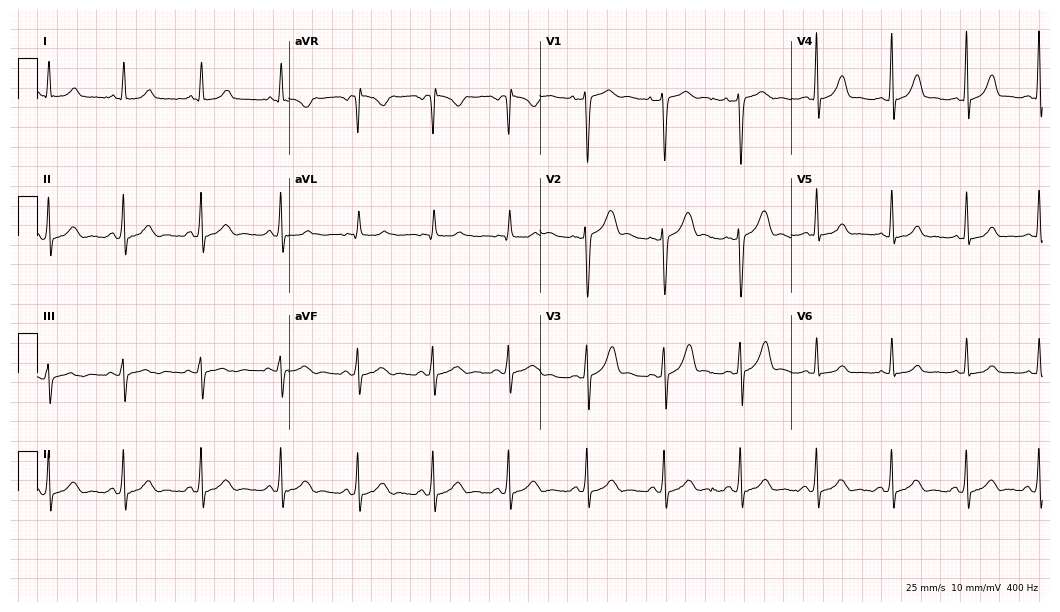
12-lead ECG (10.2-second recording at 400 Hz) from a 34-year-old female patient. Screened for six findings — first-degree AV block, right bundle branch block, left bundle branch block, sinus bradycardia, atrial fibrillation, sinus tachycardia — none is recorded. Other findings, if any, are not listed.